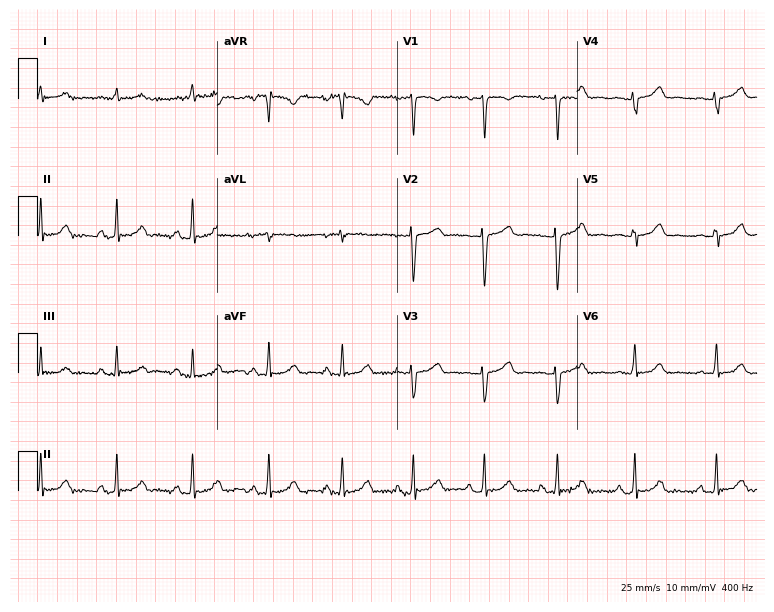
Standard 12-lead ECG recorded from a 27-year-old female patient. Read as a normal ECG.